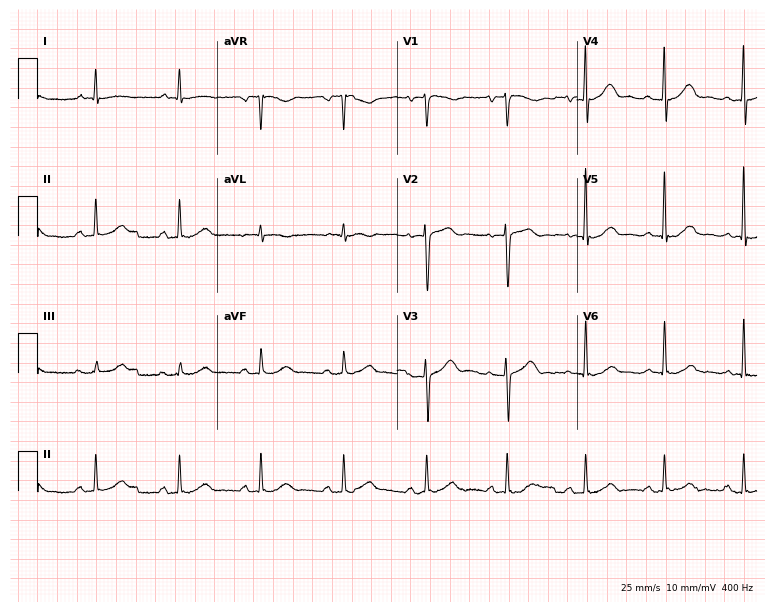
12-lead ECG from a 55-year-old male. Recorded interpretation: within normal limits.